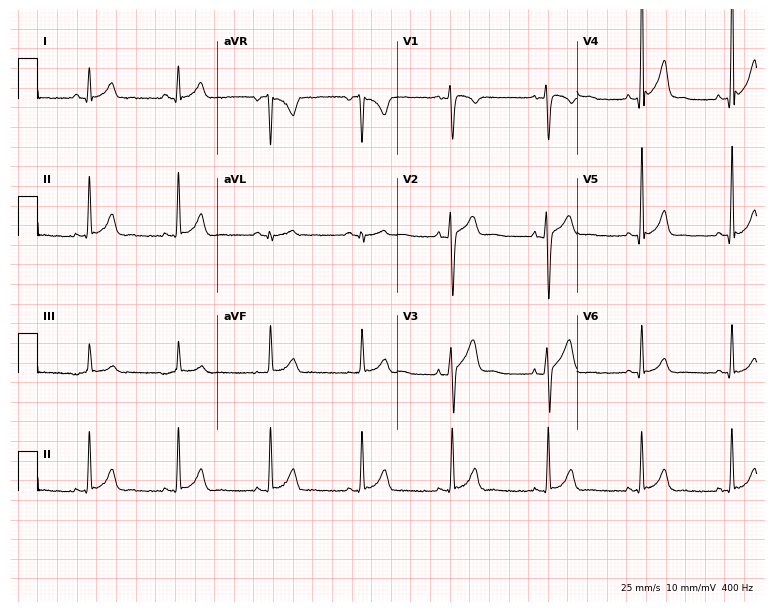
Standard 12-lead ECG recorded from a man, 21 years old. None of these six findings is recorded: first-degree AV block, right bundle branch block, left bundle branch block, sinus bradycardia, atrial fibrillation, sinus tachycardia. Only these six findings were labelled.